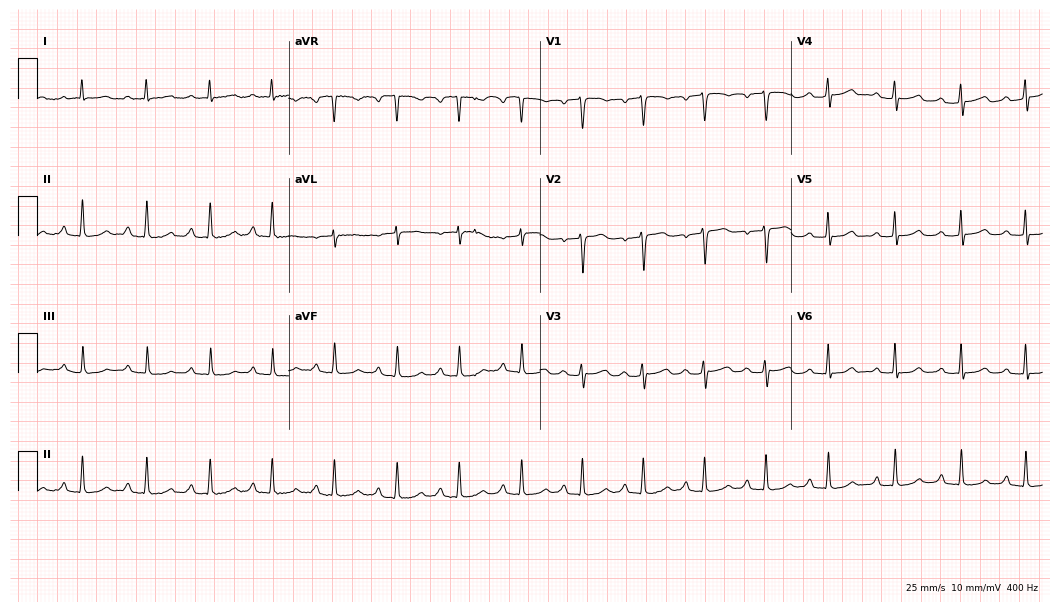
Standard 12-lead ECG recorded from a woman, 37 years old (10.2-second recording at 400 Hz). The tracing shows first-degree AV block.